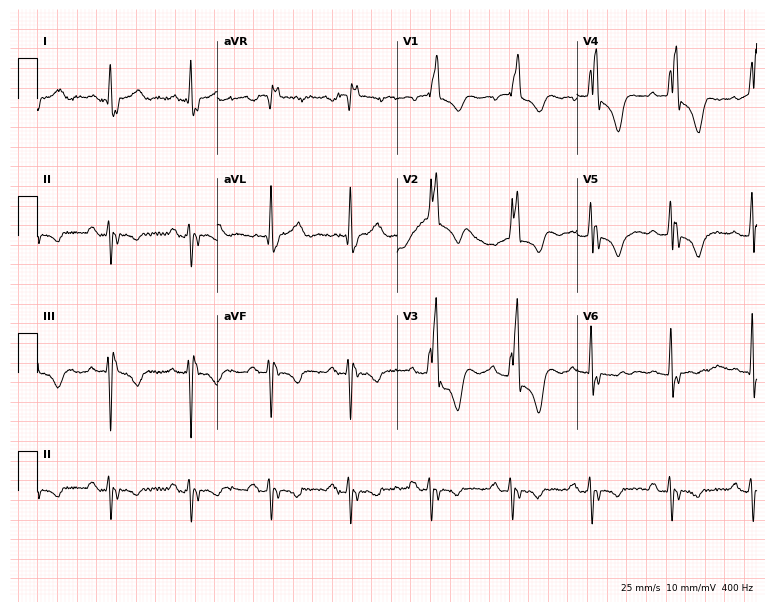
Resting 12-lead electrocardiogram. Patient: a male, 85 years old. The tracing shows right bundle branch block.